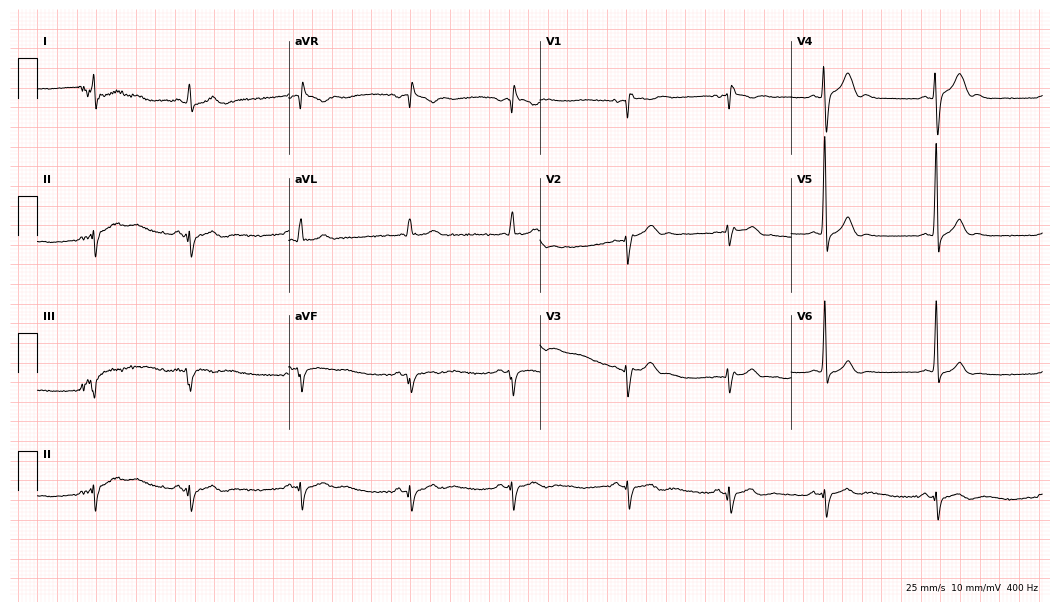
ECG — a man, 23 years old. Screened for six findings — first-degree AV block, right bundle branch block, left bundle branch block, sinus bradycardia, atrial fibrillation, sinus tachycardia — none is recorded. Findings outside these six are not listed.